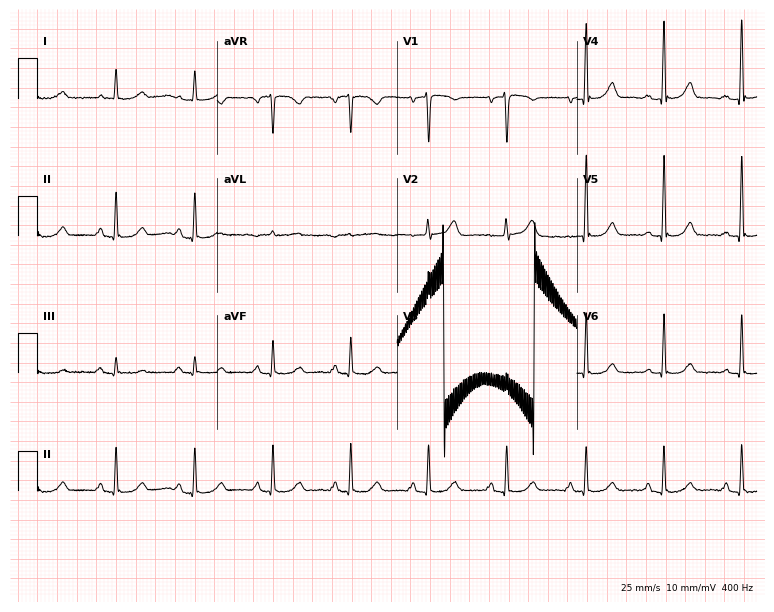
Resting 12-lead electrocardiogram (7.3-second recording at 400 Hz). Patient: a 64-year-old female. None of these six findings is recorded: first-degree AV block, right bundle branch block, left bundle branch block, sinus bradycardia, atrial fibrillation, sinus tachycardia. Only these six findings were labelled.